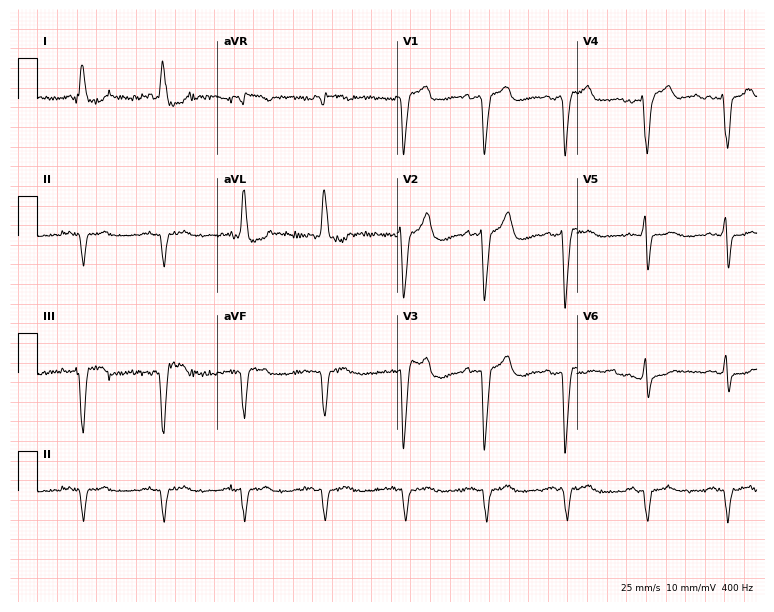
Resting 12-lead electrocardiogram. Patient: a man, 85 years old. The tracing shows left bundle branch block.